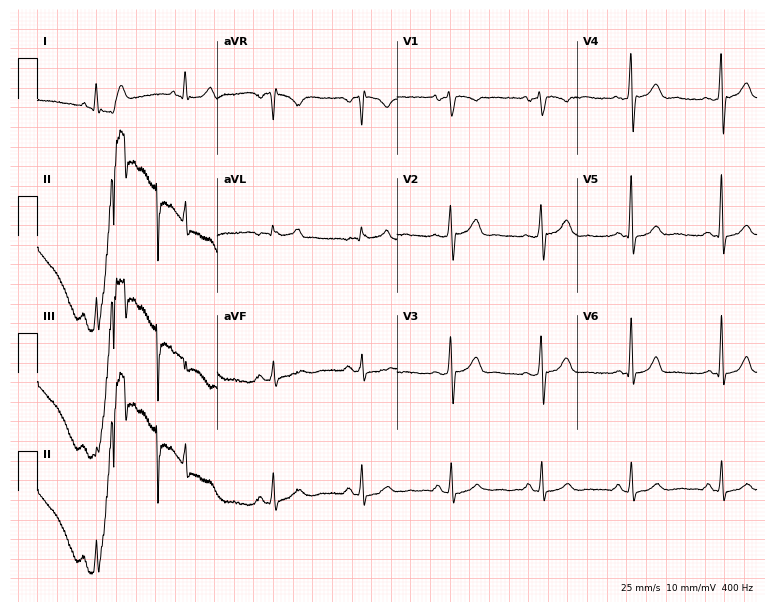
12-lead ECG from a male patient, 59 years old. Recorded interpretation: within normal limits.